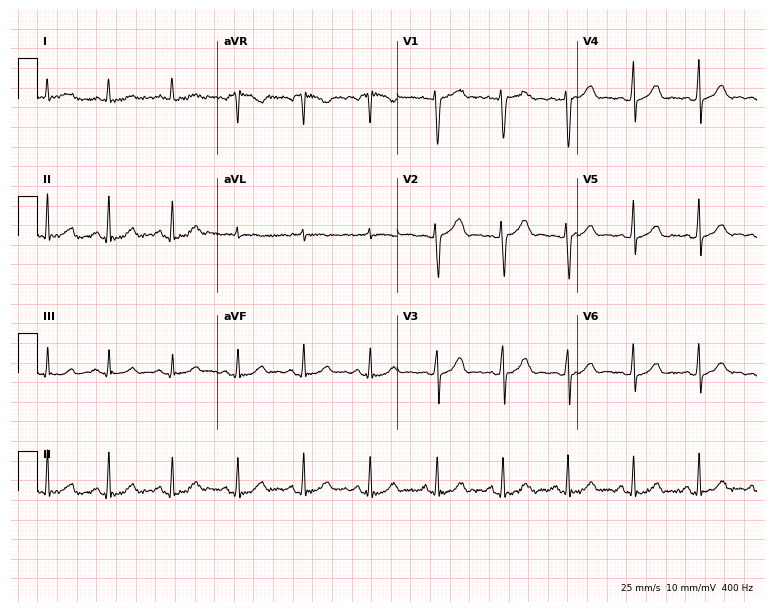
Resting 12-lead electrocardiogram. Patient: a 42-year-old female. Read as a normal ECG.